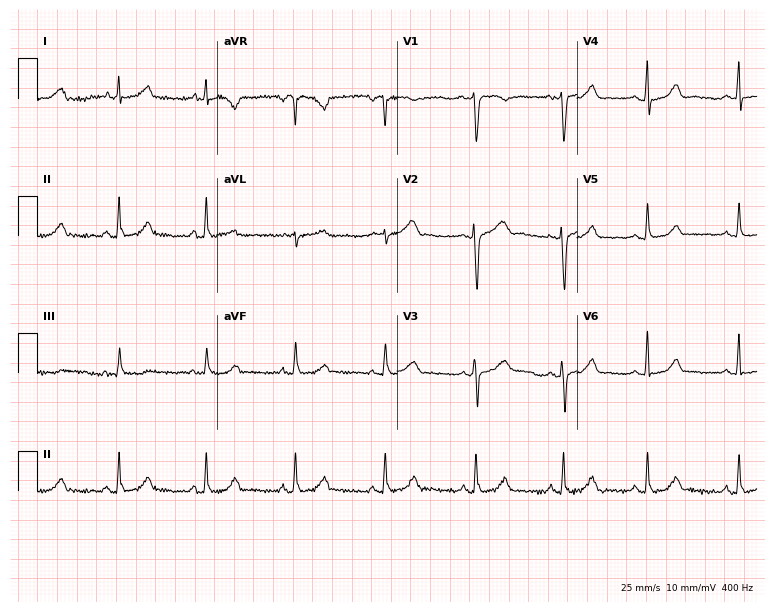
Standard 12-lead ECG recorded from a female, 23 years old (7.3-second recording at 400 Hz). Read as a normal ECG.